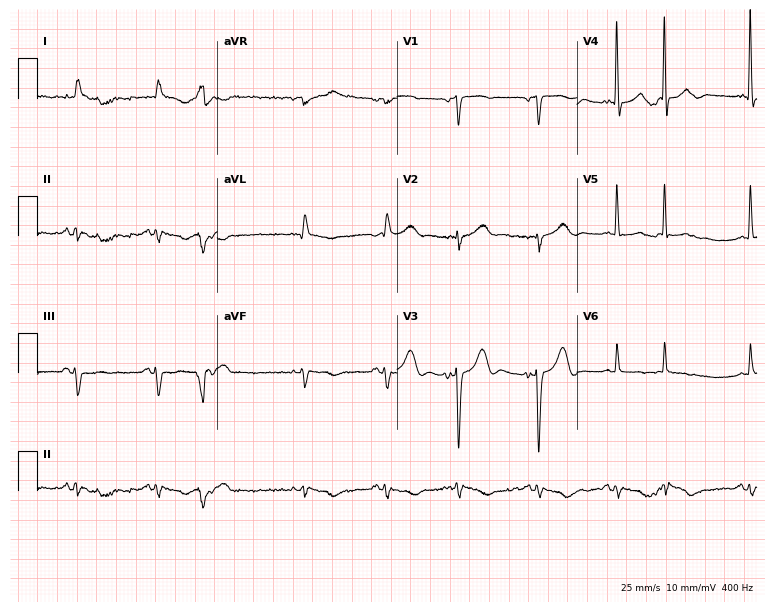
Resting 12-lead electrocardiogram (7.3-second recording at 400 Hz). Patient: a male, 83 years old. None of these six findings is recorded: first-degree AV block, right bundle branch block, left bundle branch block, sinus bradycardia, atrial fibrillation, sinus tachycardia.